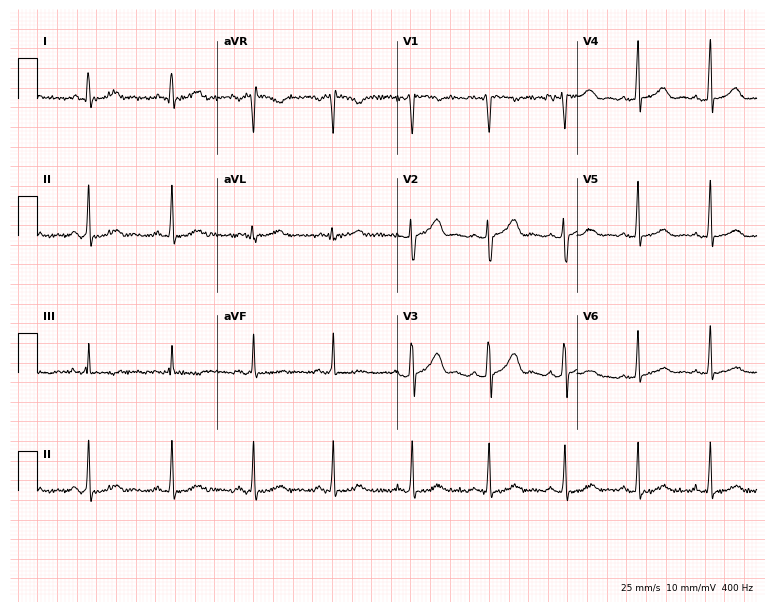
ECG — a 42-year-old female. Labelled as a normal ECG.